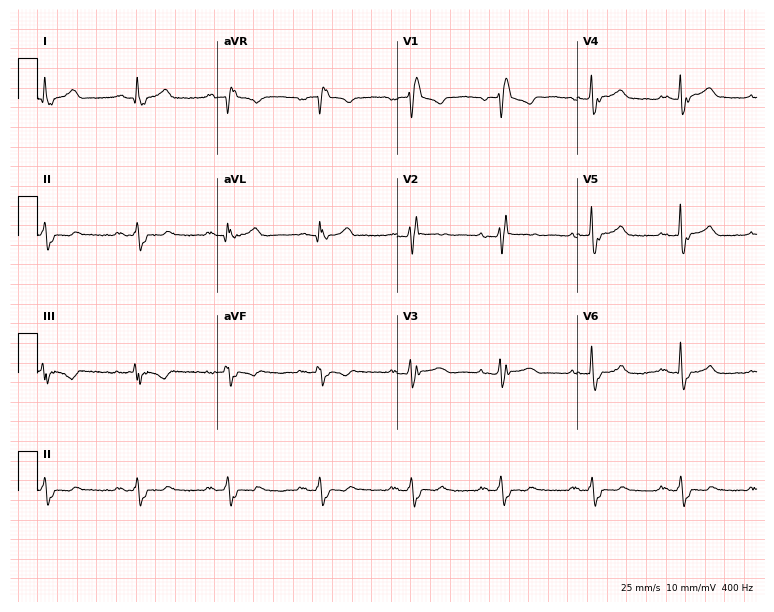
Resting 12-lead electrocardiogram (7.3-second recording at 400 Hz). Patient: a woman, 46 years old. The tracing shows right bundle branch block.